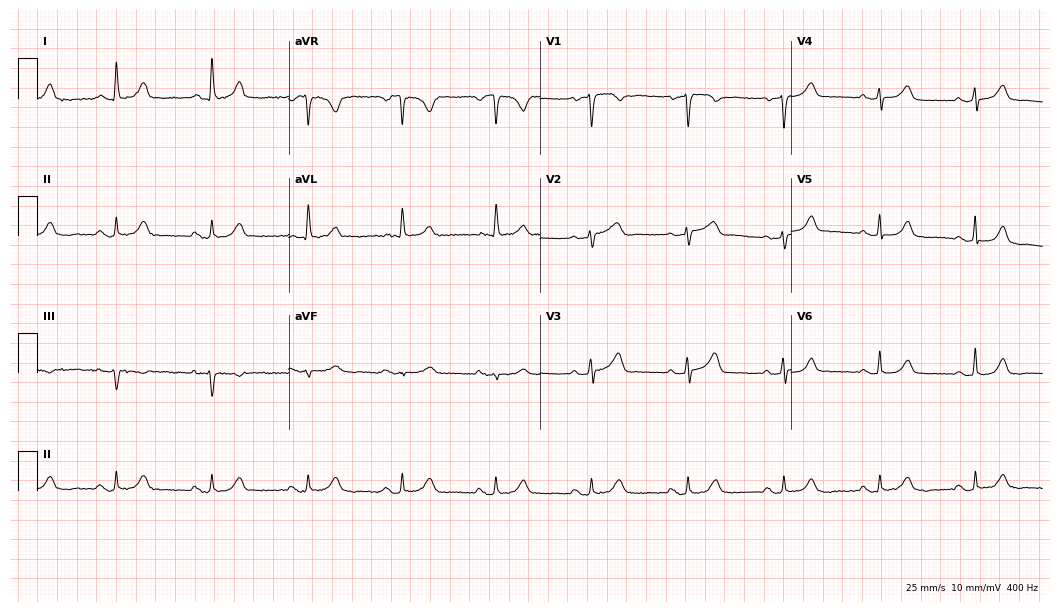
Resting 12-lead electrocardiogram (10.2-second recording at 400 Hz). Patient: a 53-year-old female. Read as a normal ECG.